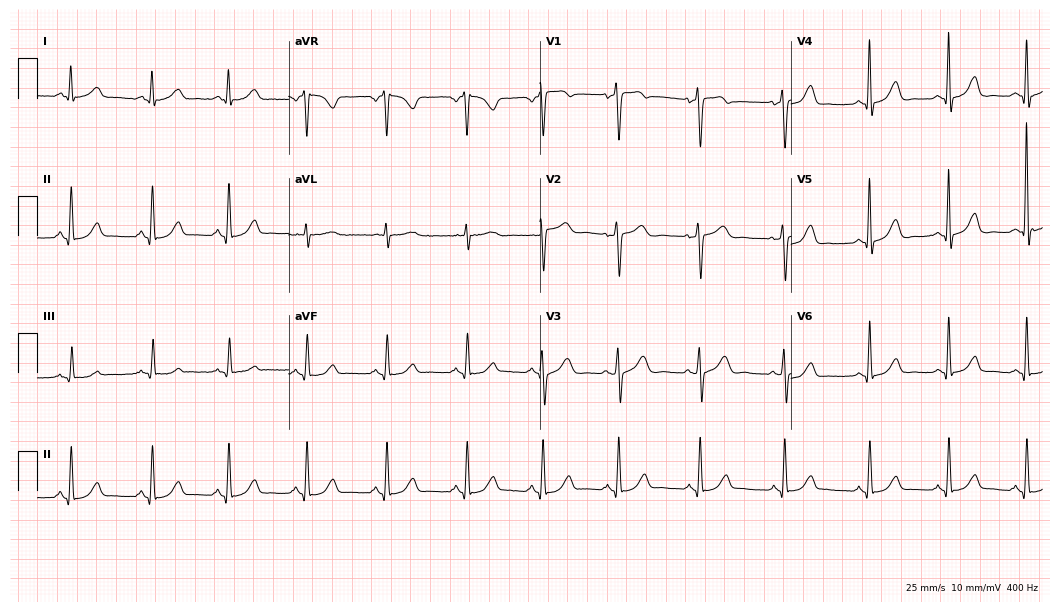
12-lead ECG from a 60-year-old woman. Labelled as a normal ECG.